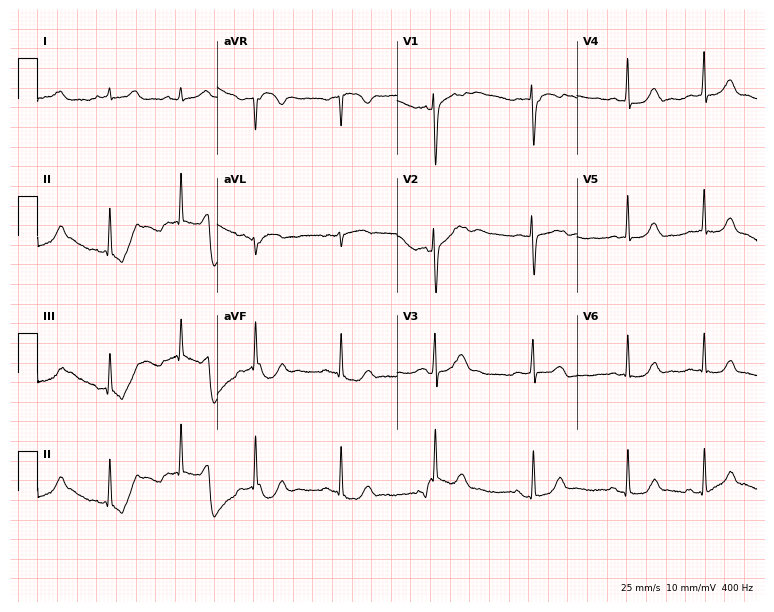
Resting 12-lead electrocardiogram. Patient: a 22-year-old female. Read as a normal ECG.